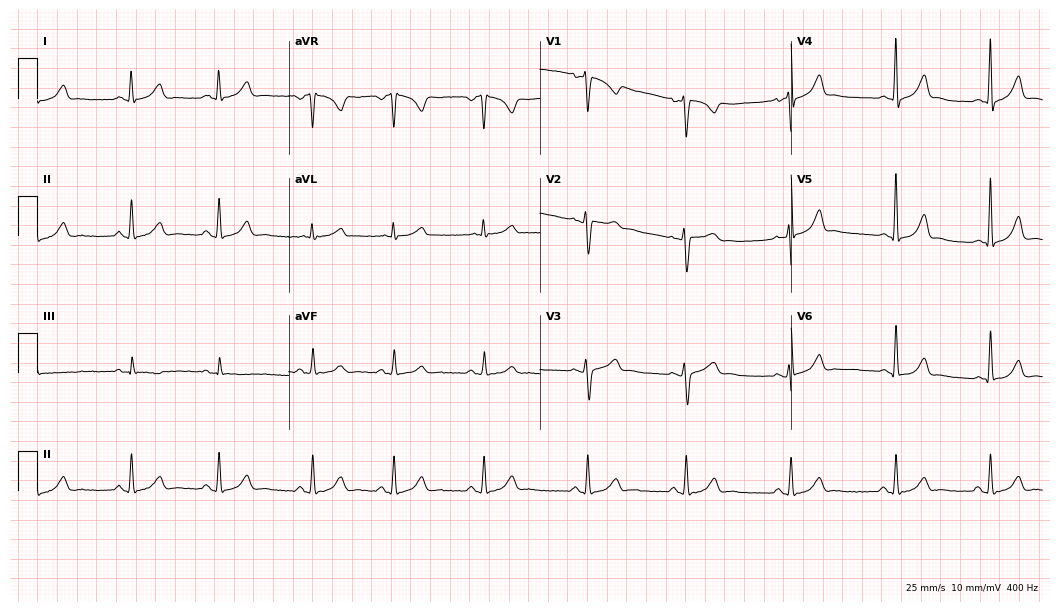
ECG — a female, 29 years old. Labelled as a normal ECG.